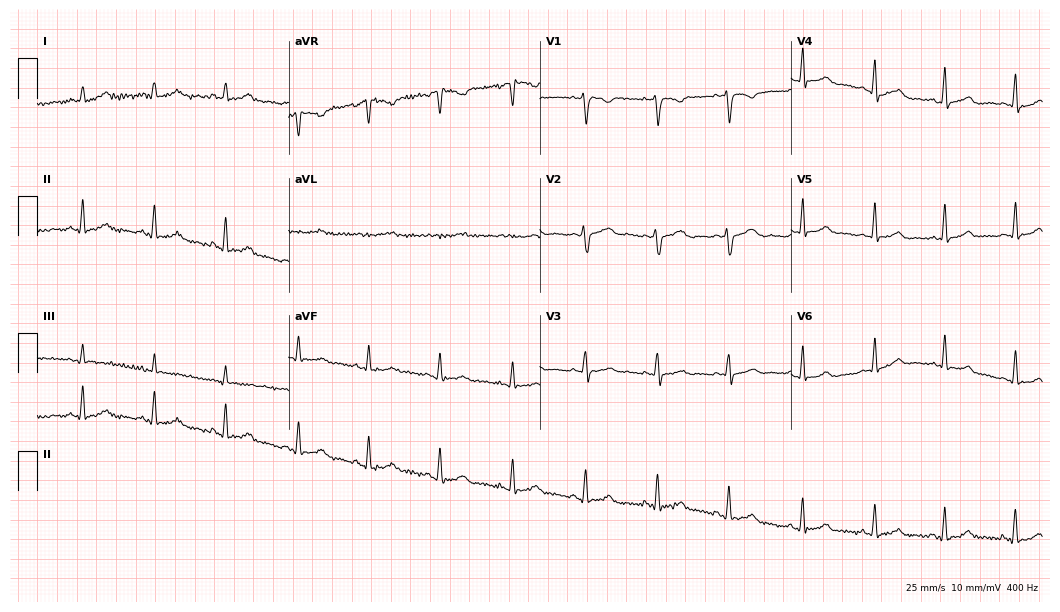
Resting 12-lead electrocardiogram (10.2-second recording at 400 Hz). Patient: a woman, 37 years old. Read as a normal ECG.